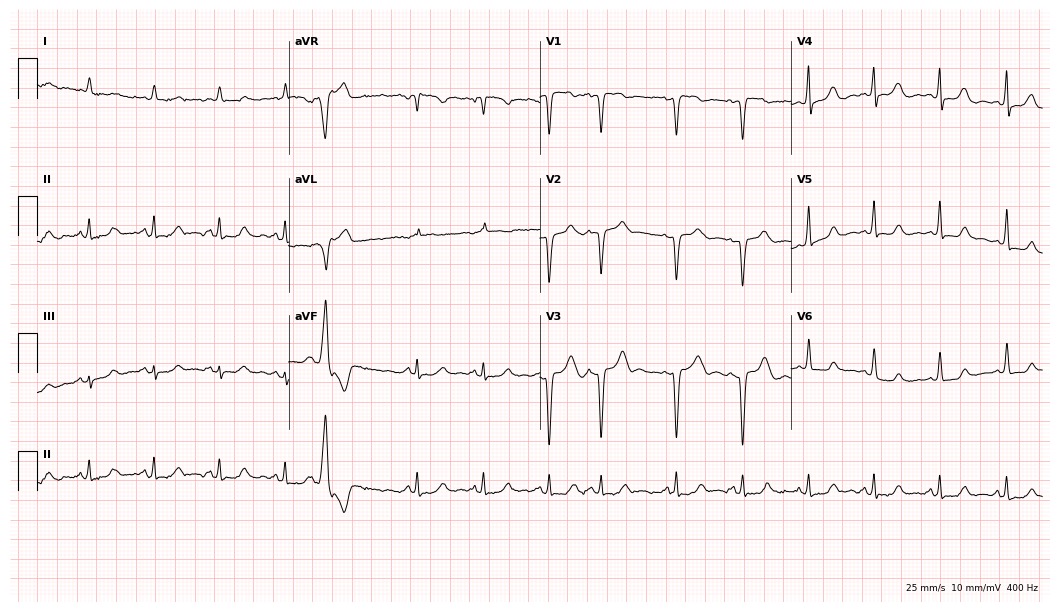
Resting 12-lead electrocardiogram (10.2-second recording at 400 Hz). Patient: a woman, 85 years old. None of these six findings is recorded: first-degree AV block, right bundle branch block, left bundle branch block, sinus bradycardia, atrial fibrillation, sinus tachycardia.